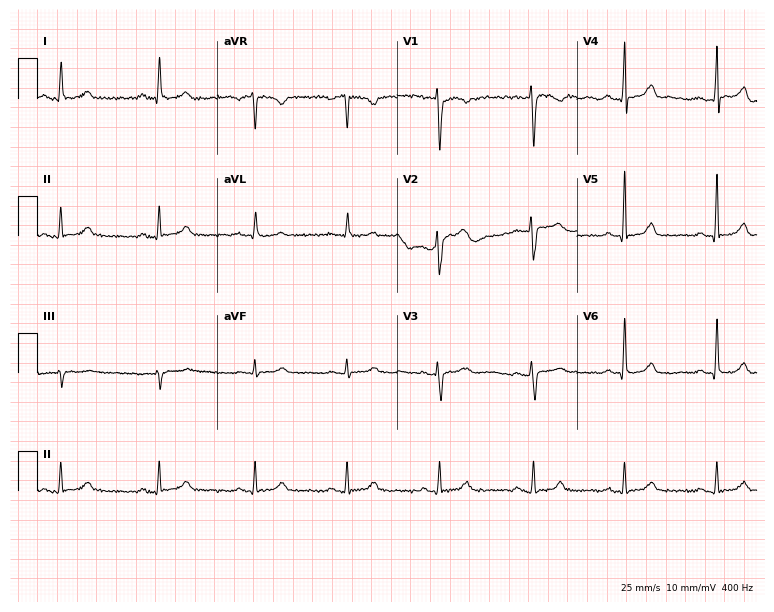
12-lead ECG from a 43-year-old female patient. Screened for six findings — first-degree AV block, right bundle branch block, left bundle branch block, sinus bradycardia, atrial fibrillation, sinus tachycardia — none is recorded.